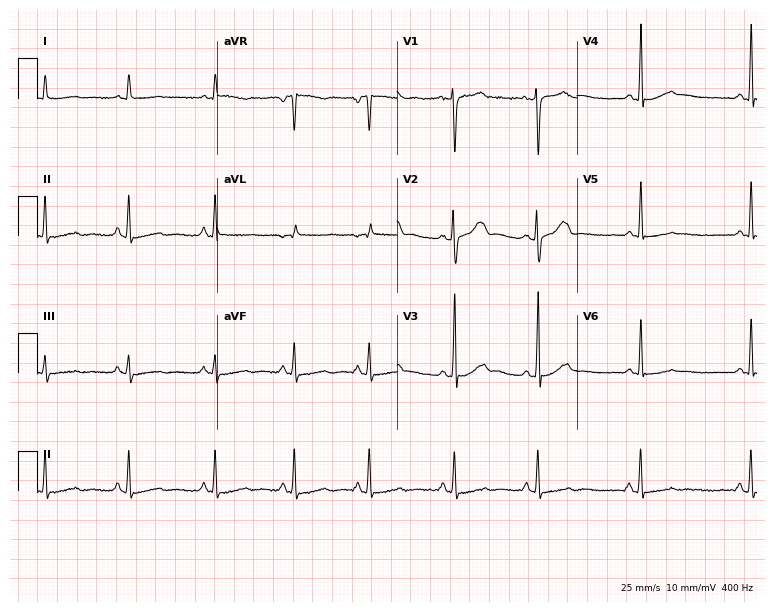
Electrocardiogram (7.3-second recording at 400 Hz), a female, 17 years old. Of the six screened findings (first-degree AV block, right bundle branch block, left bundle branch block, sinus bradycardia, atrial fibrillation, sinus tachycardia), none is recorded. Other findings, if any, are not listed.